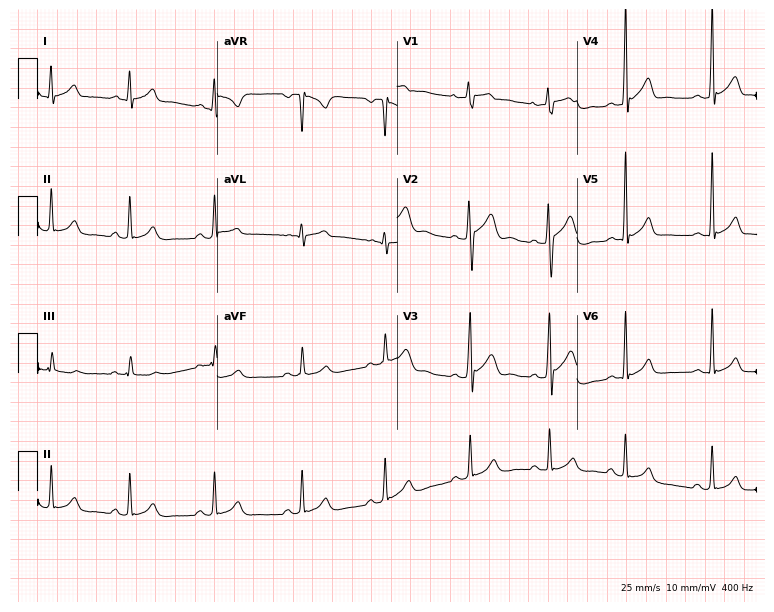
Electrocardiogram, a male, 23 years old. Of the six screened findings (first-degree AV block, right bundle branch block (RBBB), left bundle branch block (LBBB), sinus bradycardia, atrial fibrillation (AF), sinus tachycardia), none is recorded. Only these six findings were labelled.